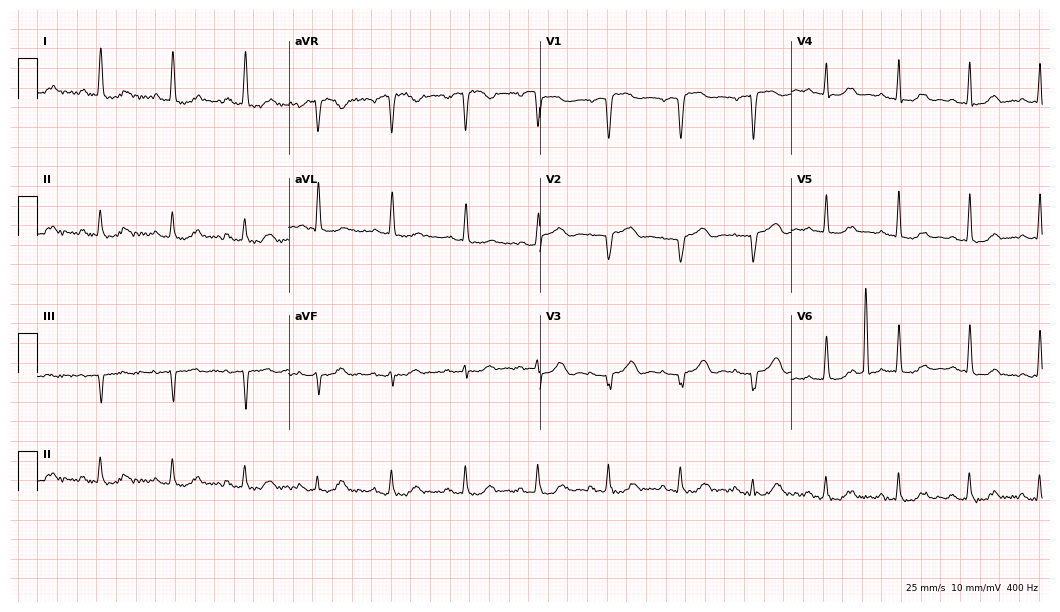
Standard 12-lead ECG recorded from a 76-year-old female patient. None of these six findings is recorded: first-degree AV block, right bundle branch block (RBBB), left bundle branch block (LBBB), sinus bradycardia, atrial fibrillation (AF), sinus tachycardia.